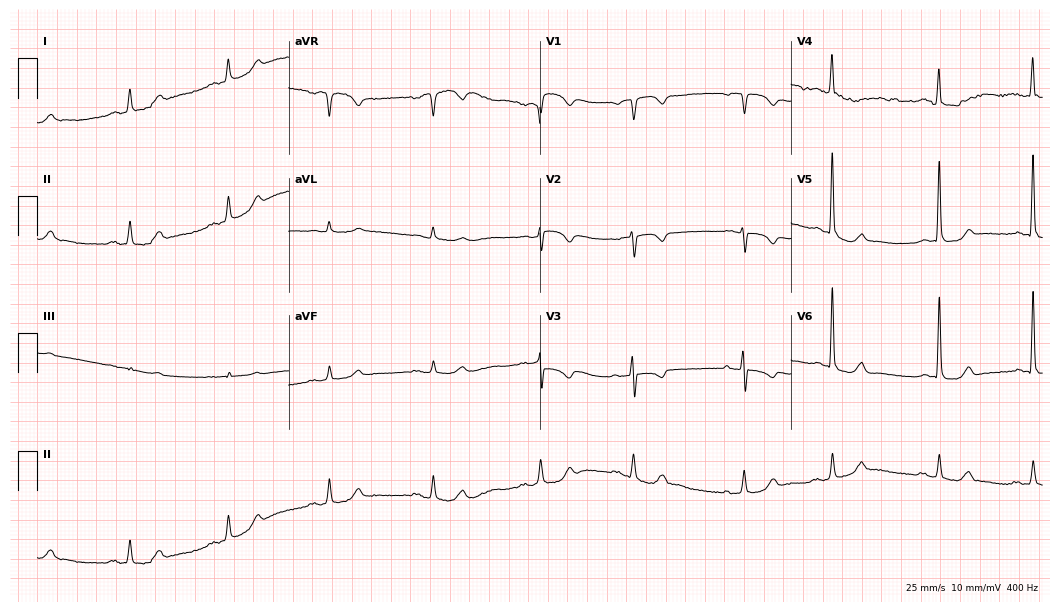
Standard 12-lead ECG recorded from an 83-year-old woman. Read as a normal ECG.